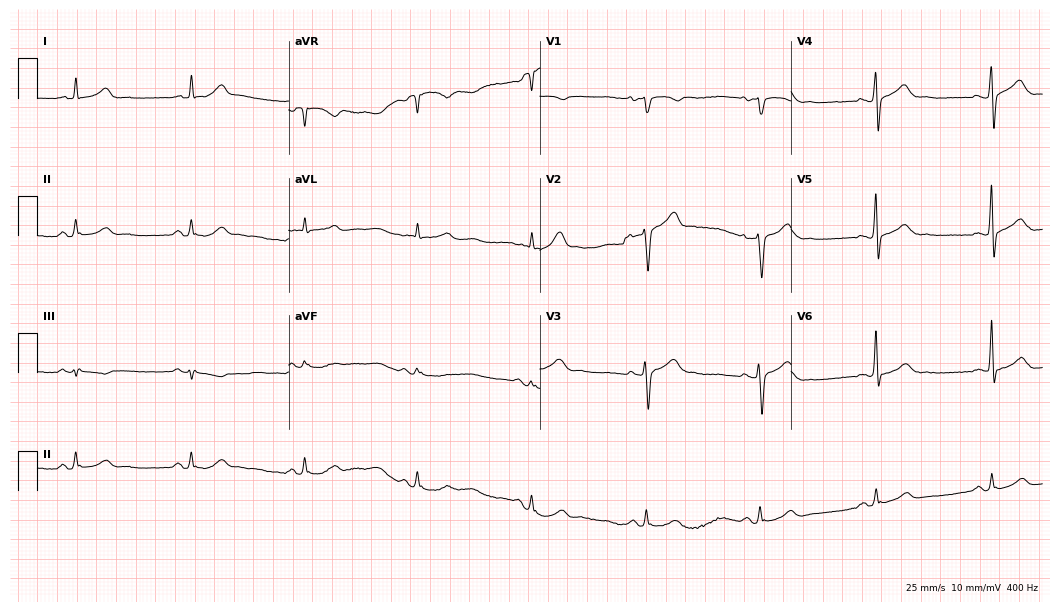
Electrocardiogram (10.2-second recording at 400 Hz), a male patient, 55 years old. Overall reading on record: normal ECG.